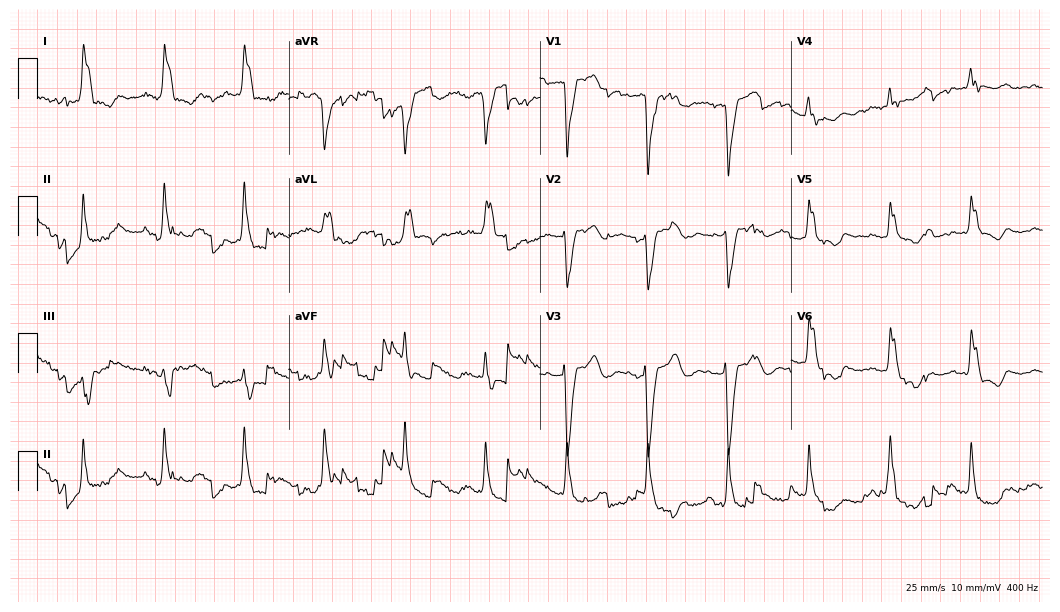
12-lead ECG from a female, 84 years old. Shows left bundle branch block.